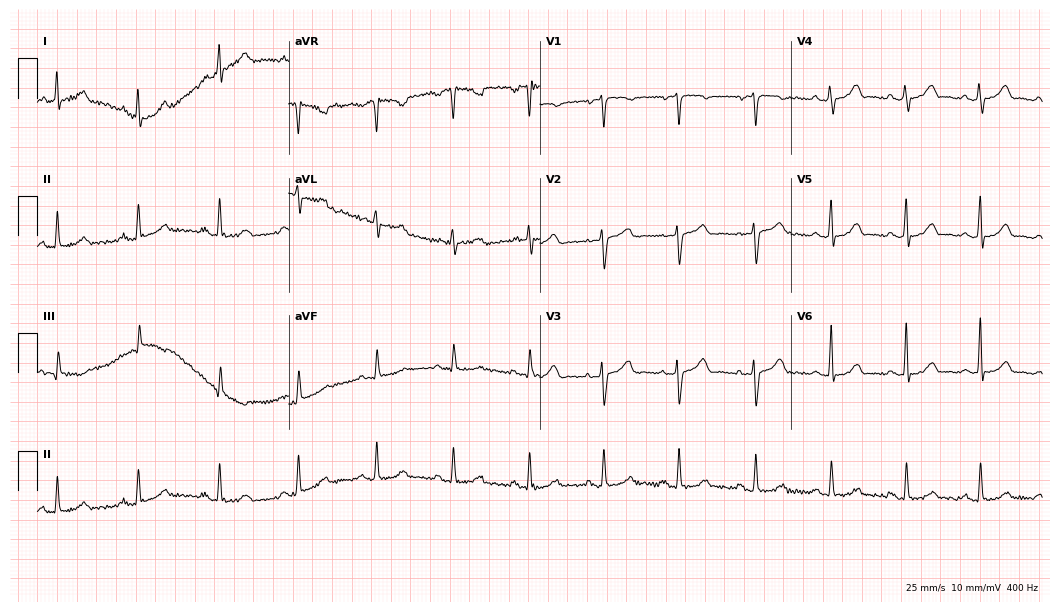
Electrocardiogram (10.2-second recording at 400 Hz), a female, 60 years old. Of the six screened findings (first-degree AV block, right bundle branch block (RBBB), left bundle branch block (LBBB), sinus bradycardia, atrial fibrillation (AF), sinus tachycardia), none is recorded. Other findings, if any, are not listed.